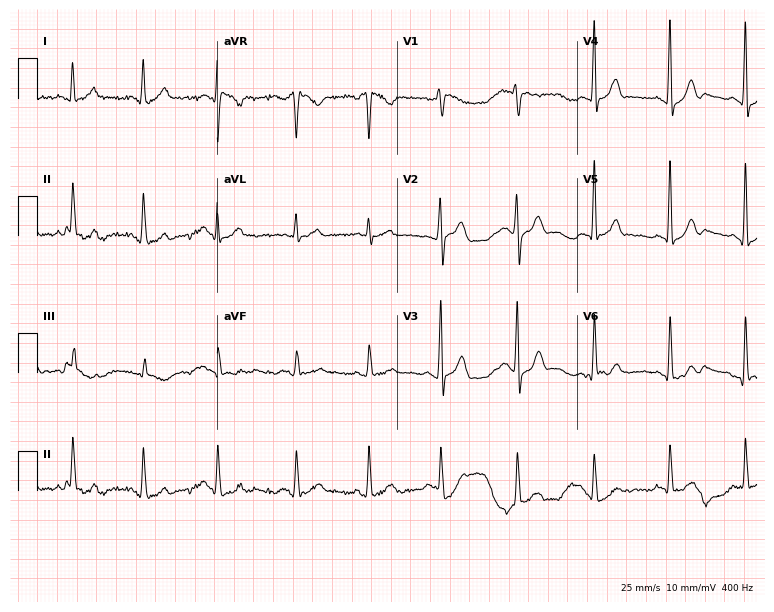
ECG (7.3-second recording at 400 Hz) — a 22-year-old male. Labelled as a normal ECG.